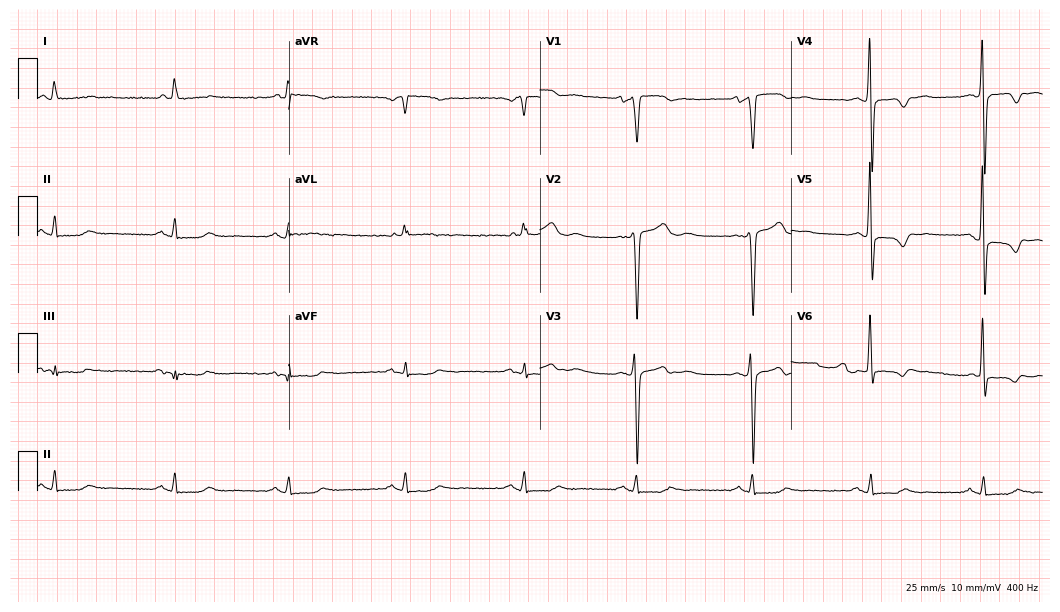
12-lead ECG from a man, 61 years old (10.2-second recording at 400 Hz). No first-degree AV block, right bundle branch block, left bundle branch block, sinus bradycardia, atrial fibrillation or sinus tachycardia recorded for this tracing.